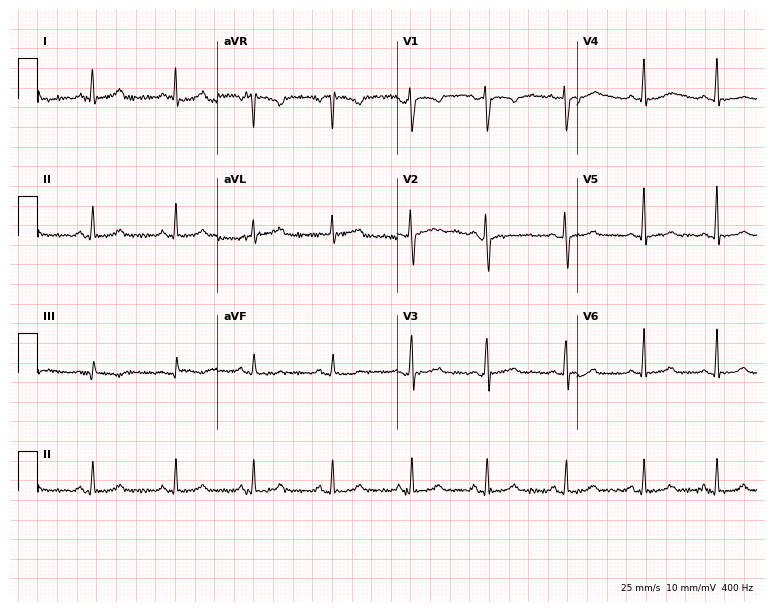
Electrocardiogram (7.3-second recording at 400 Hz), a woman, 31 years old. Overall reading on record: normal ECG.